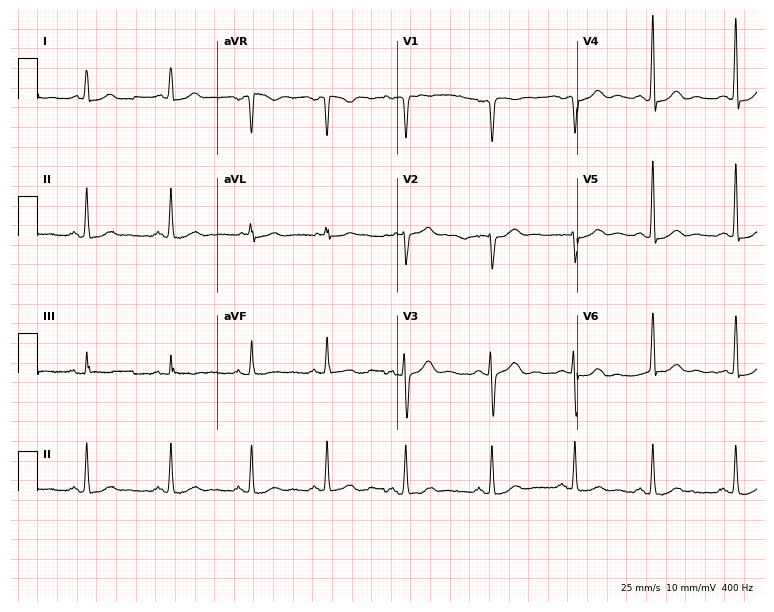
12-lead ECG from a female, 42 years old (7.3-second recording at 400 Hz). No first-degree AV block, right bundle branch block, left bundle branch block, sinus bradycardia, atrial fibrillation or sinus tachycardia recorded for this tracing.